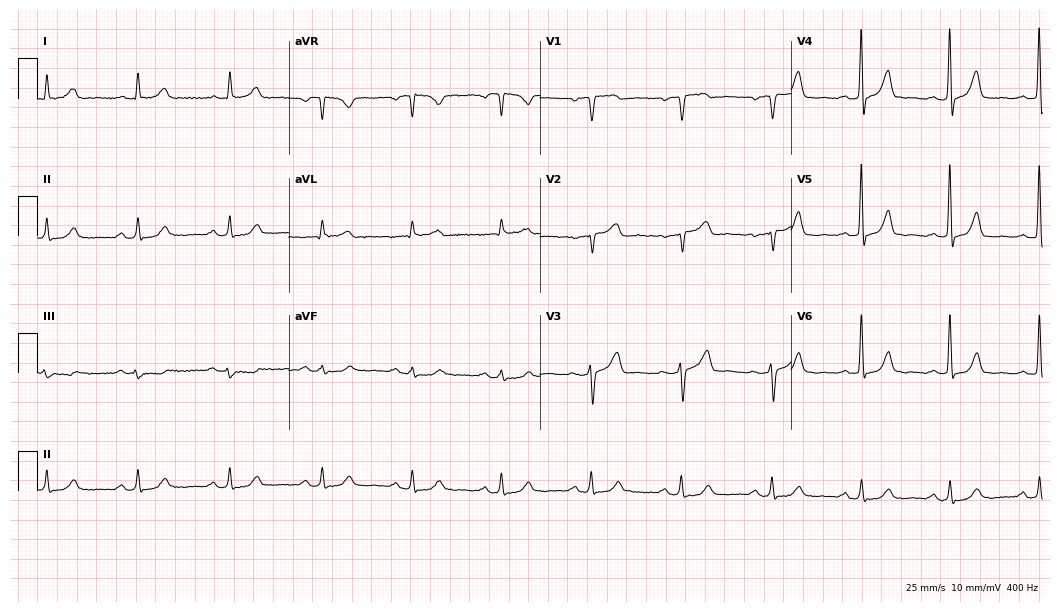
12-lead ECG (10.2-second recording at 400 Hz) from a 73-year-old male. Labelled as a normal ECG.